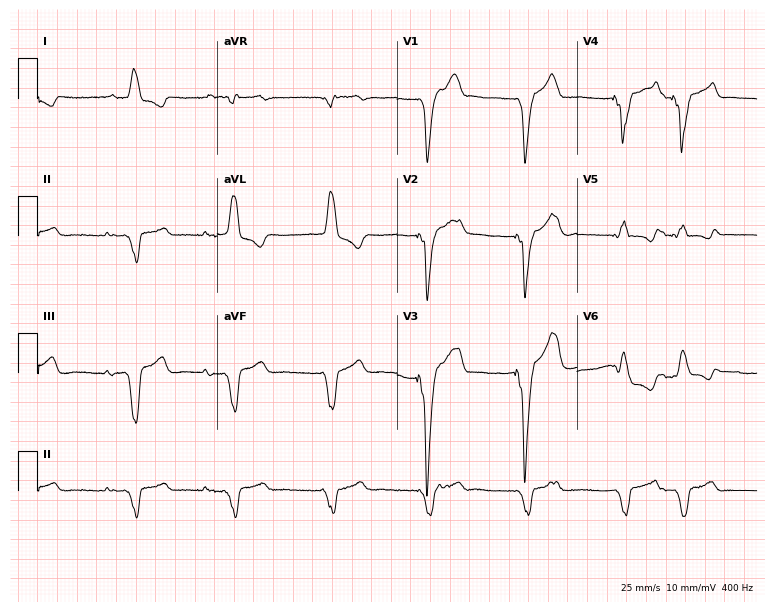
Resting 12-lead electrocardiogram (7.3-second recording at 400 Hz). Patient: a male, 62 years old. None of these six findings is recorded: first-degree AV block, right bundle branch block, left bundle branch block, sinus bradycardia, atrial fibrillation, sinus tachycardia. Only these six findings were labelled.